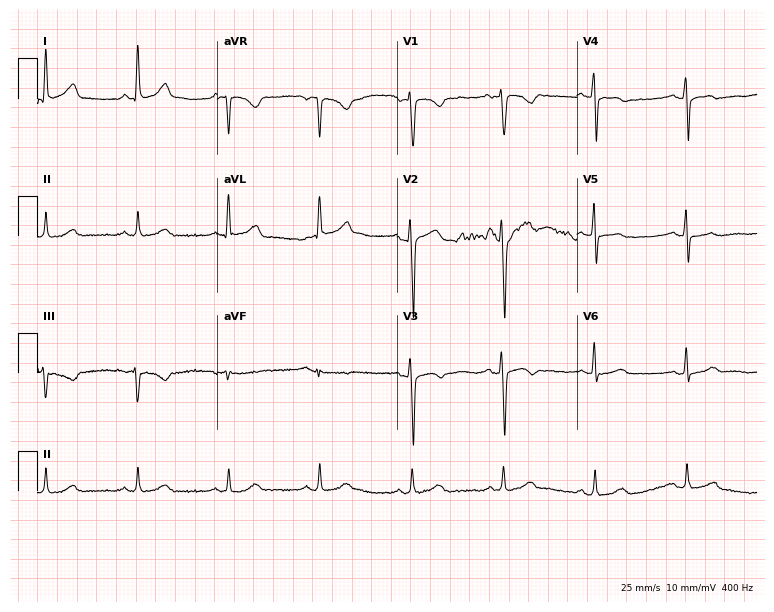
Electrocardiogram, a 61-year-old male. Overall reading on record: normal ECG.